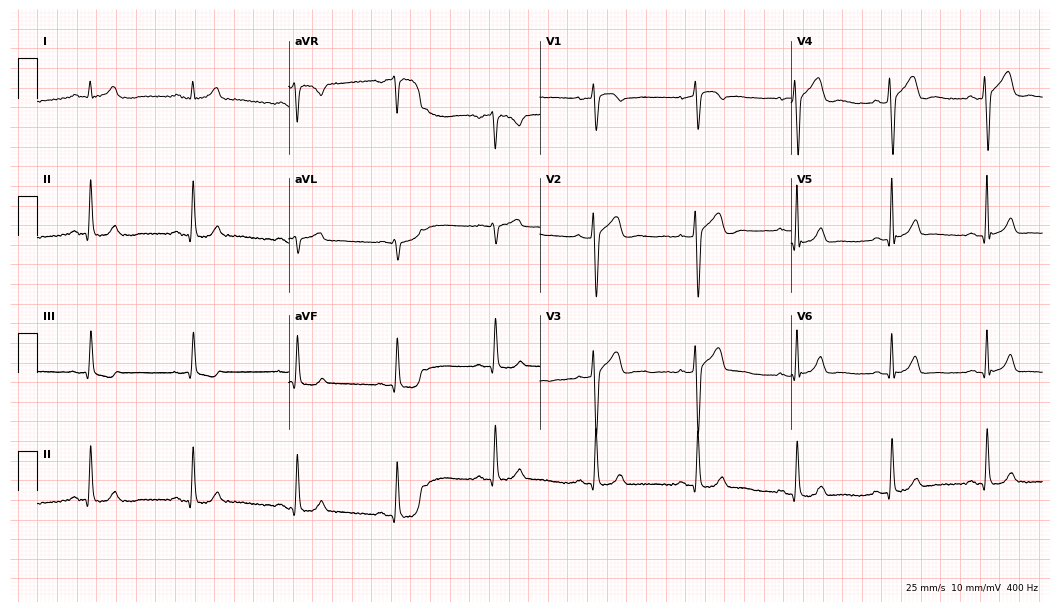
Resting 12-lead electrocardiogram (10.2-second recording at 400 Hz). Patient: a man, 38 years old. None of these six findings is recorded: first-degree AV block, right bundle branch block (RBBB), left bundle branch block (LBBB), sinus bradycardia, atrial fibrillation (AF), sinus tachycardia.